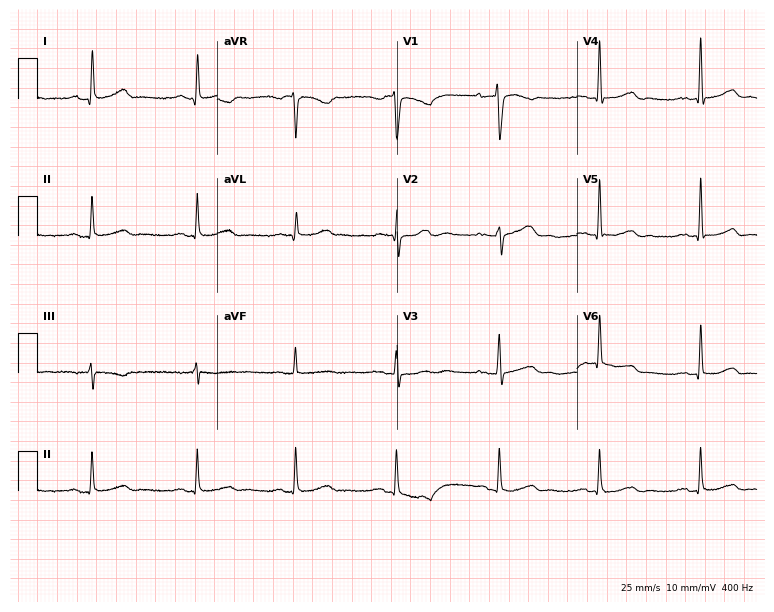
12-lead ECG from a female, 51 years old. Labelled as a normal ECG.